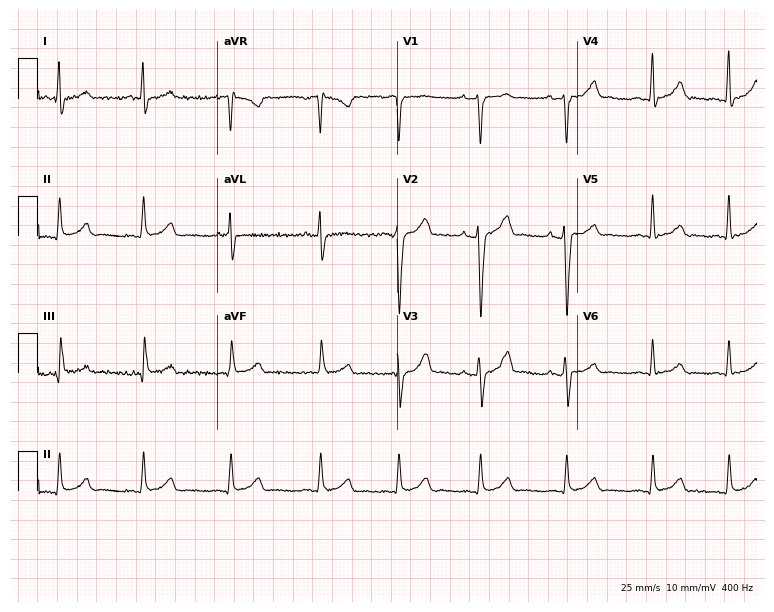
ECG — a female patient, 32 years old. Screened for six findings — first-degree AV block, right bundle branch block, left bundle branch block, sinus bradycardia, atrial fibrillation, sinus tachycardia — none is recorded. Findings outside these six are not listed.